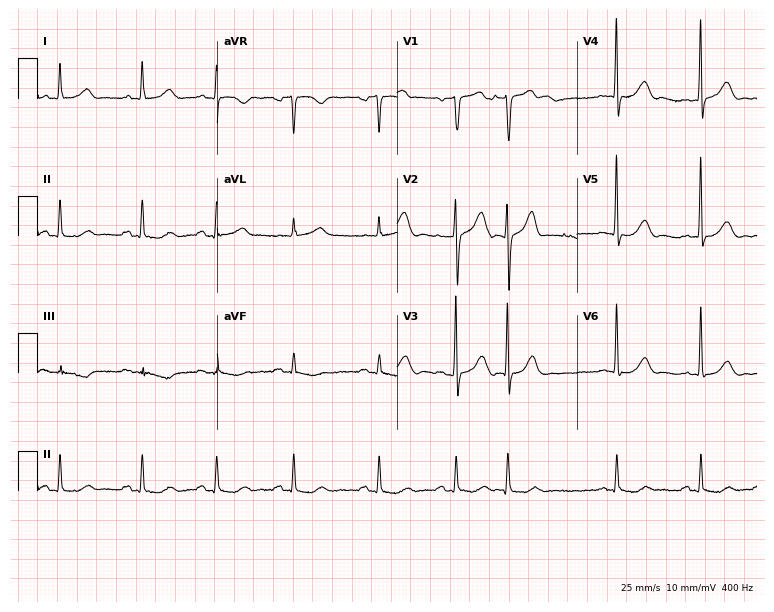
12-lead ECG (7.3-second recording at 400 Hz) from a 79-year-old man. Screened for six findings — first-degree AV block, right bundle branch block, left bundle branch block, sinus bradycardia, atrial fibrillation, sinus tachycardia — none is recorded.